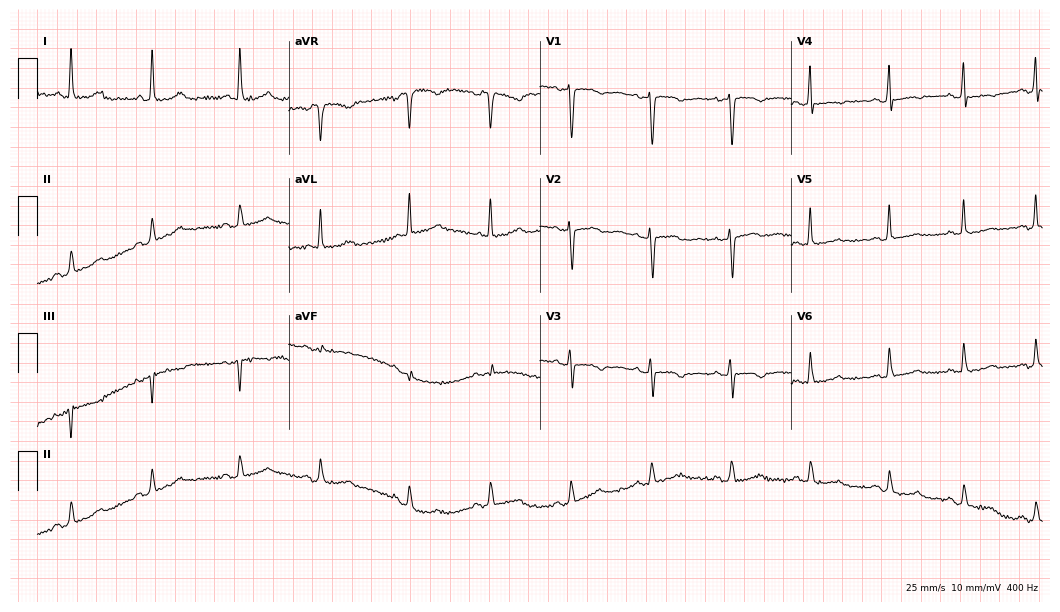
ECG — a 38-year-old female patient. Labelled as a normal ECG.